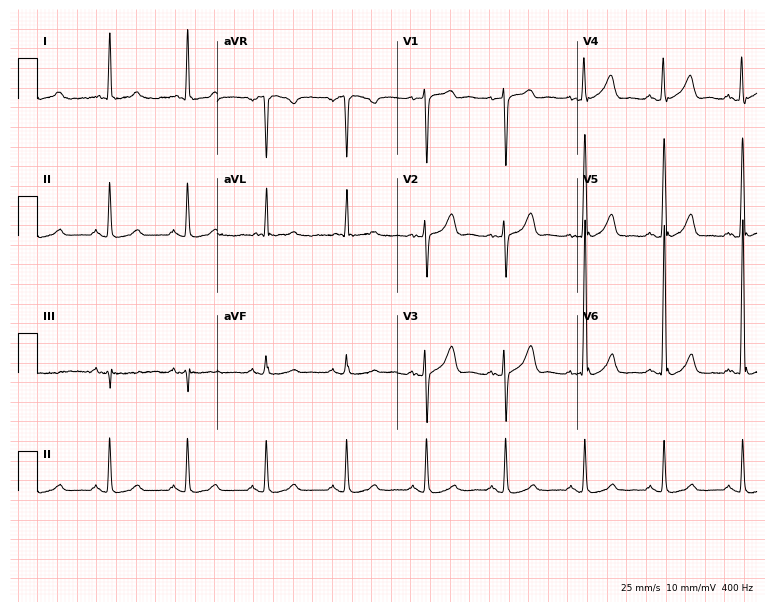
Resting 12-lead electrocardiogram. Patient: a 71-year-old male. Read as a normal ECG.